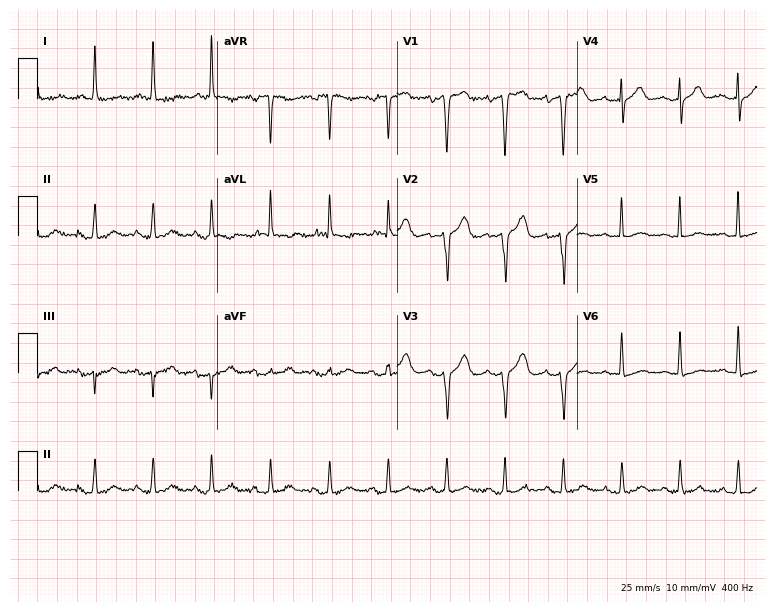
Electrocardiogram, a 78-year-old female patient. Of the six screened findings (first-degree AV block, right bundle branch block, left bundle branch block, sinus bradycardia, atrial fibrillation, sinus tachycardia), none is recorded. Other findings, if any, are not listed.